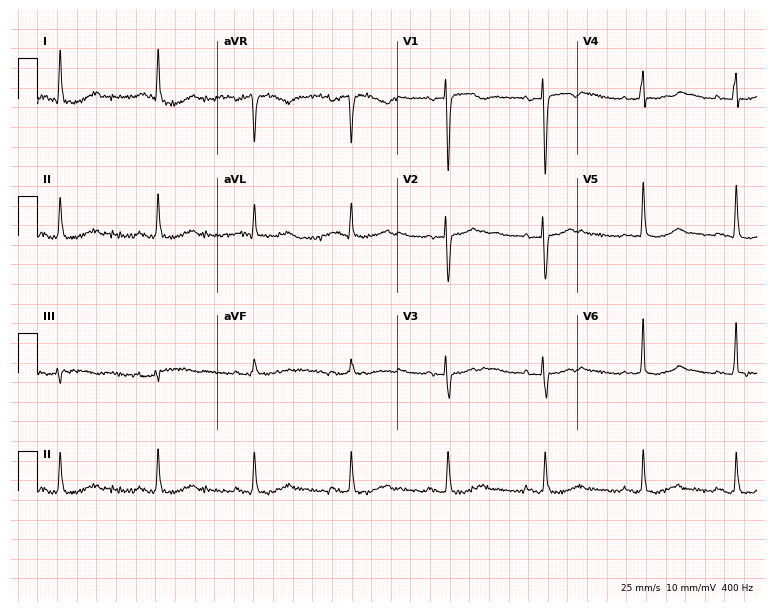
Resting 12-lead electrocardiogram (7.3-second recording at 400 Hz). Patient: an 81-year-old female. None of these six findings is recorded: first-degree AV block, right bundle branch block, left bundle branch block, sinus bradycardia, atrial fibrillation, sinus tachycardia. Only these six findings were labelled.